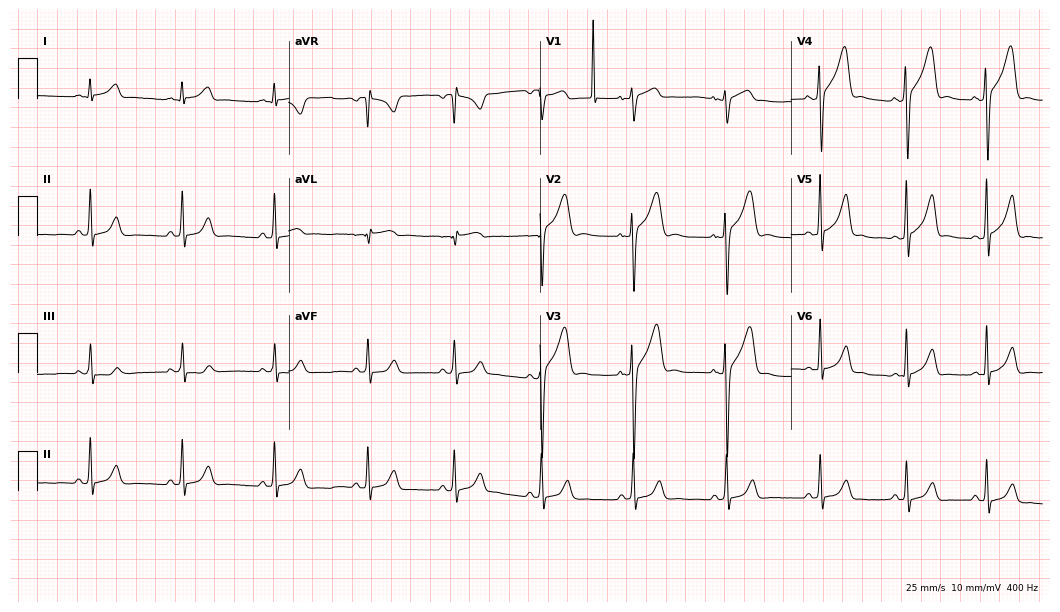
Resting 12-lead electrocardiogram. Patient: a male, 17 years old. Read as a normal ECG.